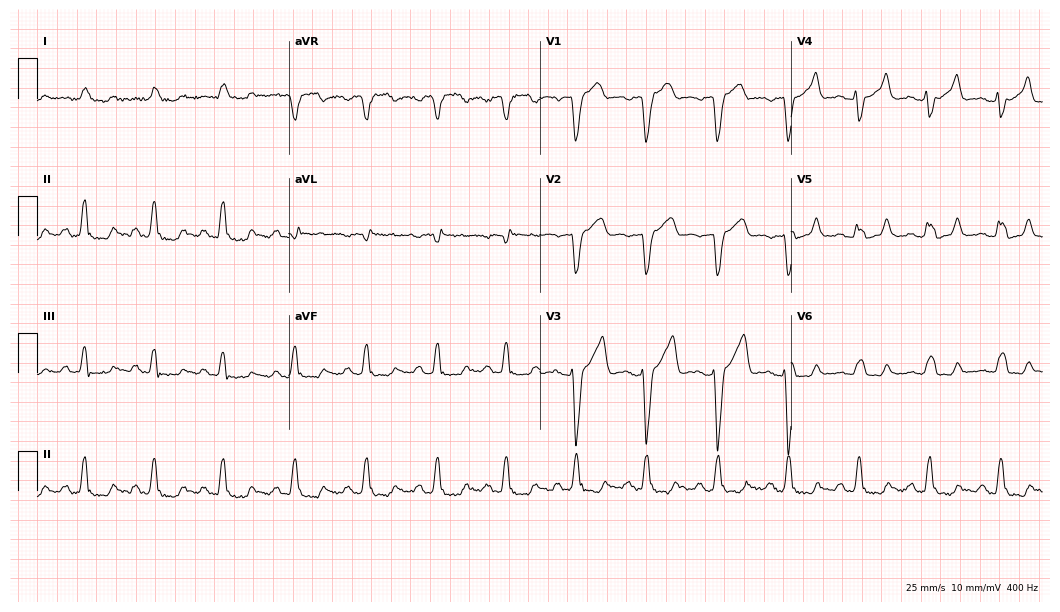
Standard 12-lead ECG recorded from an 81-year-old male patient (10.2-second recording at 400 Hz). The tracing shows left bundle branch block (LBBB).